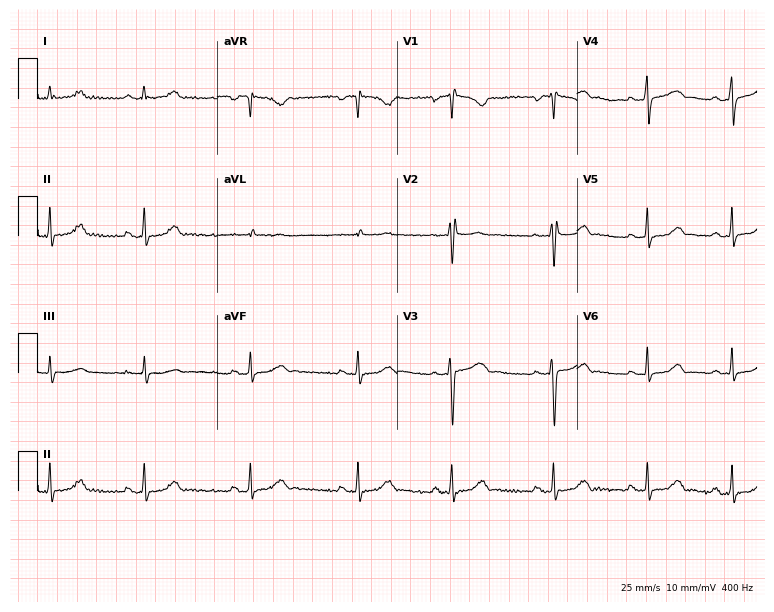
Resting 12-lead electrocardiogram (7.3-second recording at 400 Hz). Patient: a 23-year-old female. None of these six findings is recorded: first-degree AV block, right bundle branch block, left bundle branch block, sinus bradycardia, atrial fibrillation, sinus tachycardia. Other findings, if any, are not listed.